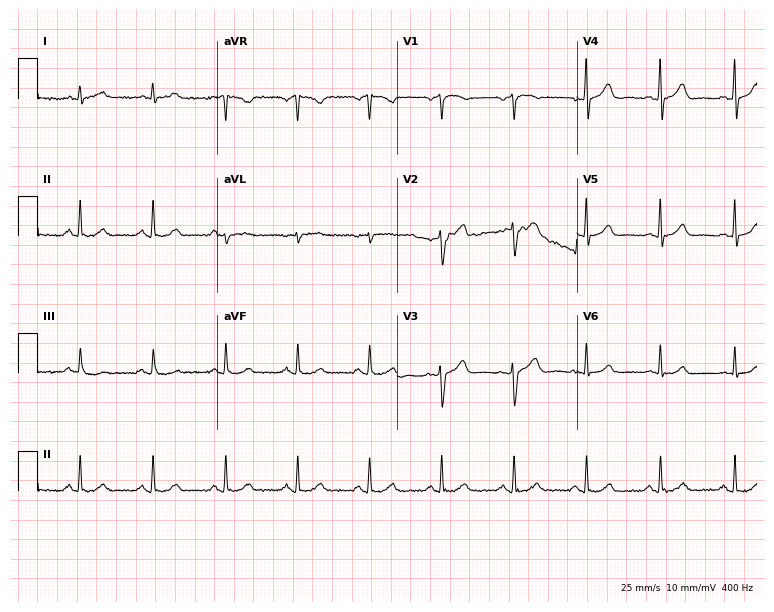
Electrocardiogram (7.3-second recording at 400 Hz), a man, 70 years old. Overall reading on record: normal ECG.